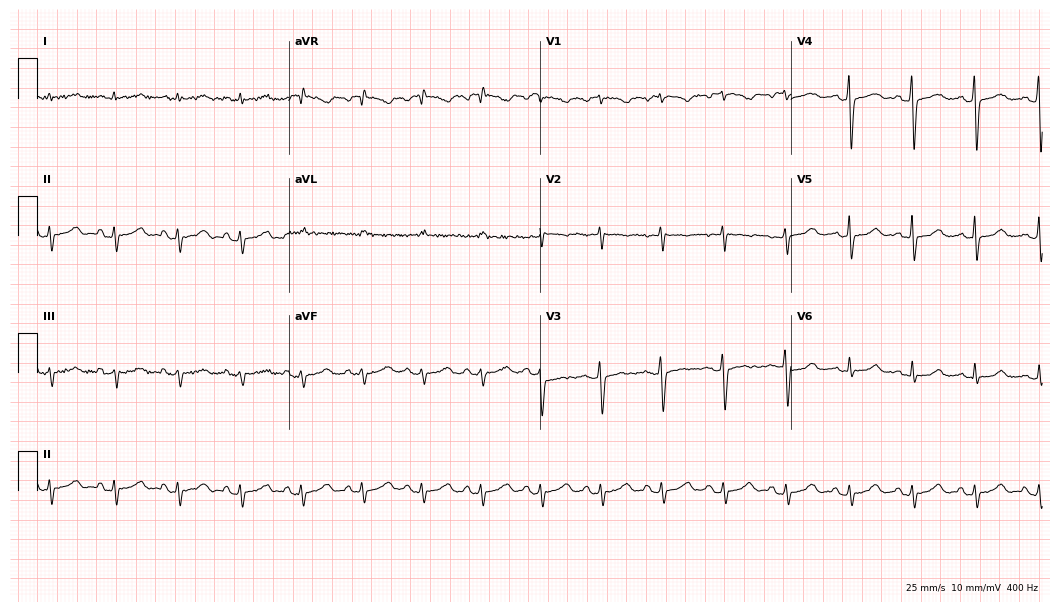
12-lead ECG from a female patient, 40 years old. Screened for six findings — first-degree AV block, right bundle branch block (RBBB), left bundle branch block (LBBB), sinus bradycardia, atrial fibrillation (AF), sinus tachycardia — none is recorded.